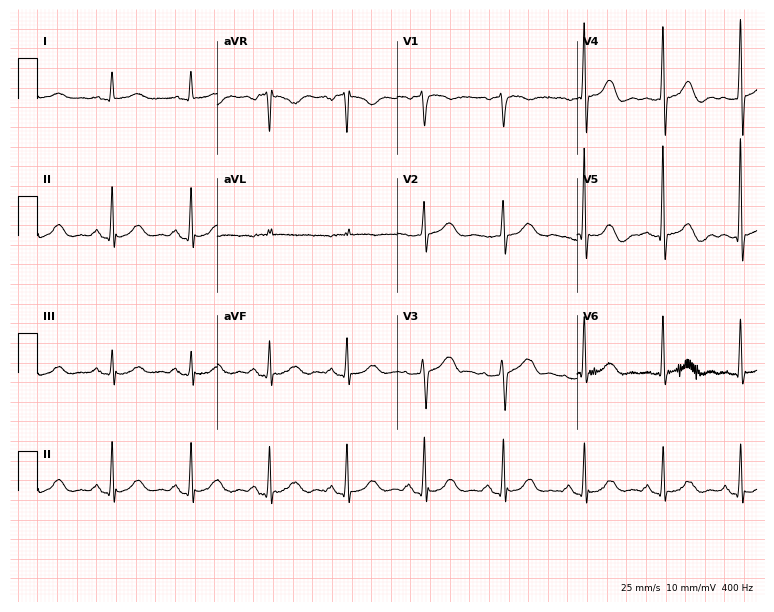
Resting 12-lead electrocardiogram (7.3-second recording at 400 Hz). Patient: a female, 63 years old. None of these six findings is recorded: first-degree AV block, right bundle branch block (RBBB), left bundle branch block (LBBB), sinus bradycardia, atrial fibrillation (AF), sinus tachycardia. Only these six findings were labelled.